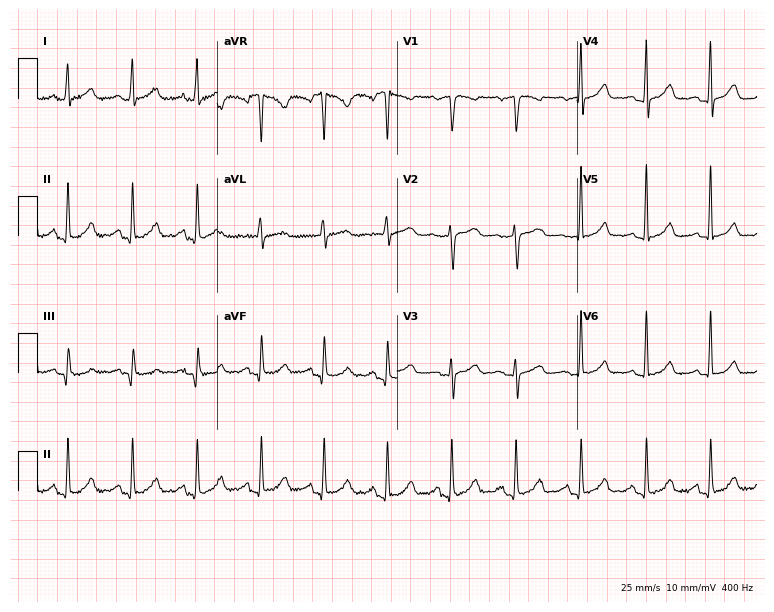
ECG (7.3-second recording at 400 Hz) — a female patient, 50 years old. Labelled as a normal ECG.